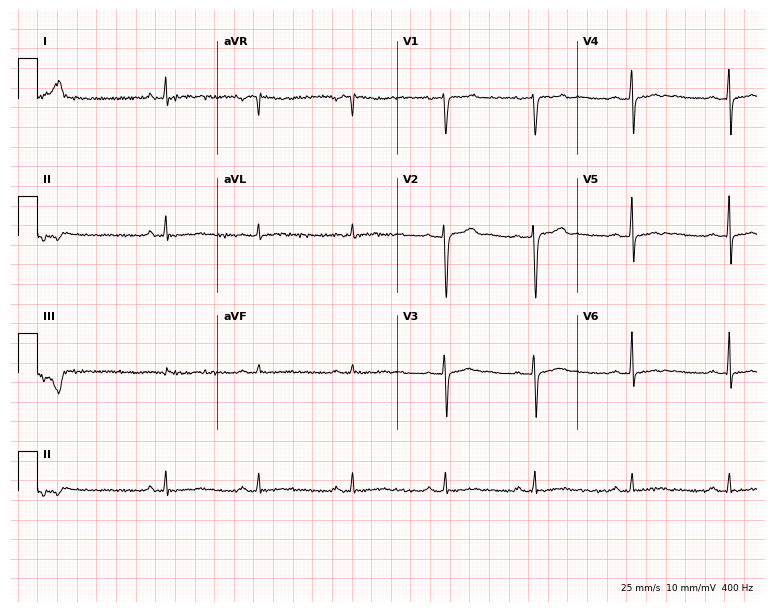
ECG (7.3-second recording at 400 Hz) — a woman, 42 years old. Screened for six findings — first-degree AV block, right bundle branch block, left bundle branch block, sinus bradycardia, atrial fibrillation, sinus tachycardia — none is recorded.